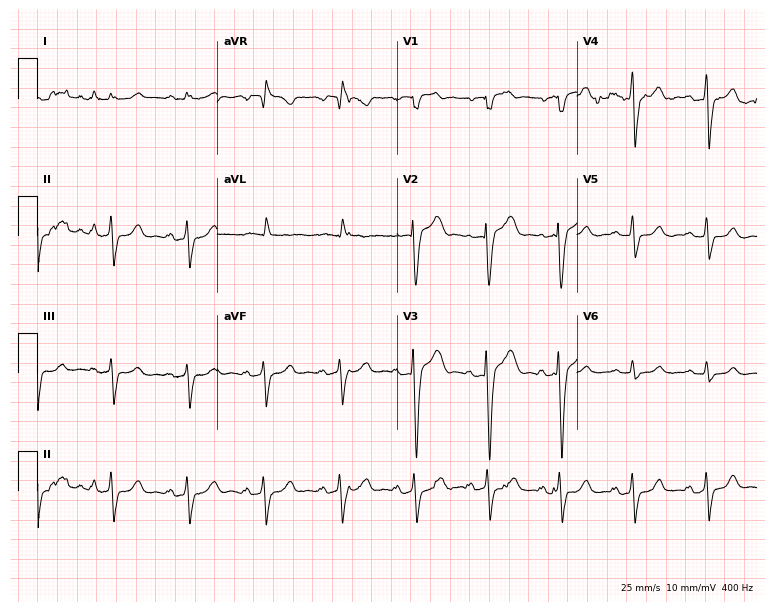
12-lead ECG from a male, 72 years old (7.3-second recording at 400 Hz). Shows left bundle branch block.